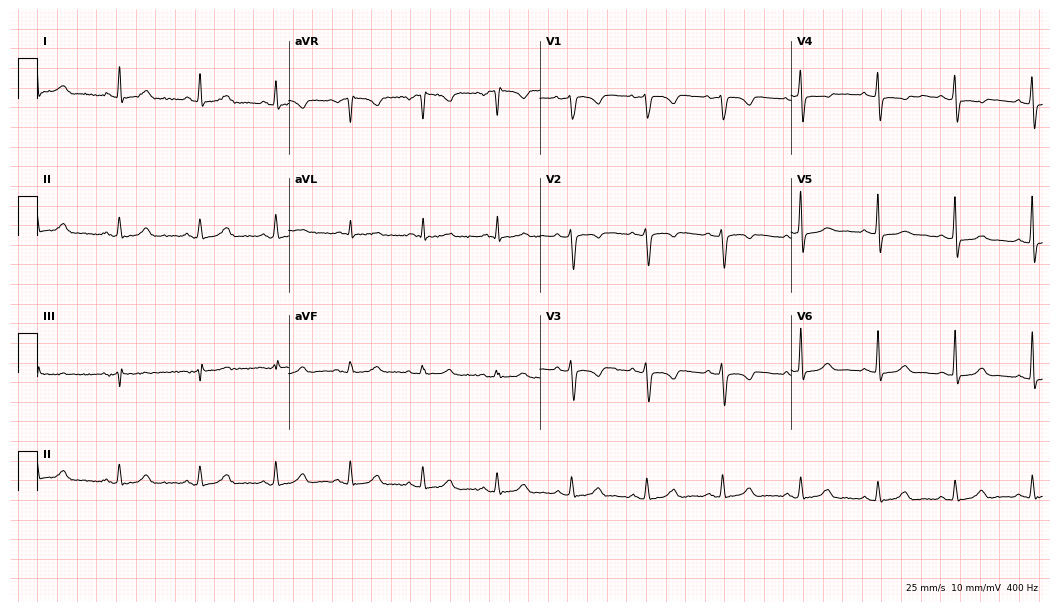
Electrocardiogram, a 46-year-old female. Of the six screened findings (first-degree AV block, right bundle branch block (RBBB), left bundle branch block (LBBB), sinus bradycardia, atrial fibrillation (AF), sinus tachycardia), none is recorded.